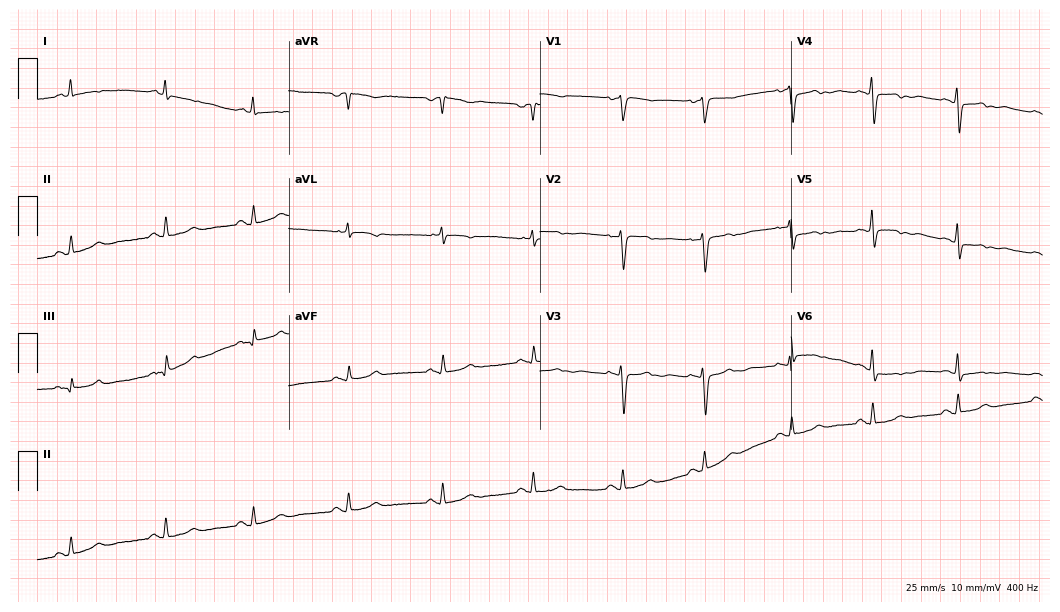
ECG (10.2-second recording at 400 Hz) — a female, 64 years old. Screened for six findings — first-degree AV block, right bundle branch block (RBBB), left bundle branch block (LBBB), sinus bradycardia, atrial fibrillation (AF), sinus tachycardia — none is recorded. Other findings, if any, are not listed.